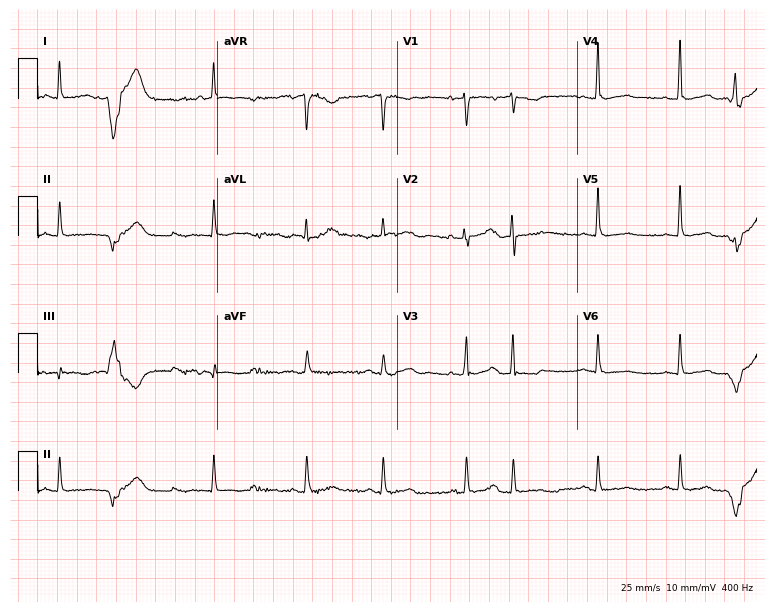
12-lead ECG (7.3-second recording at 400 Hz) from a woman, 73 years old. Screened for six findings — first-degree AV block, right bundle branch block, left bundle branch block, sinus bradycardia, atrial fibrillation, sinus tachycardia — none is recorded.